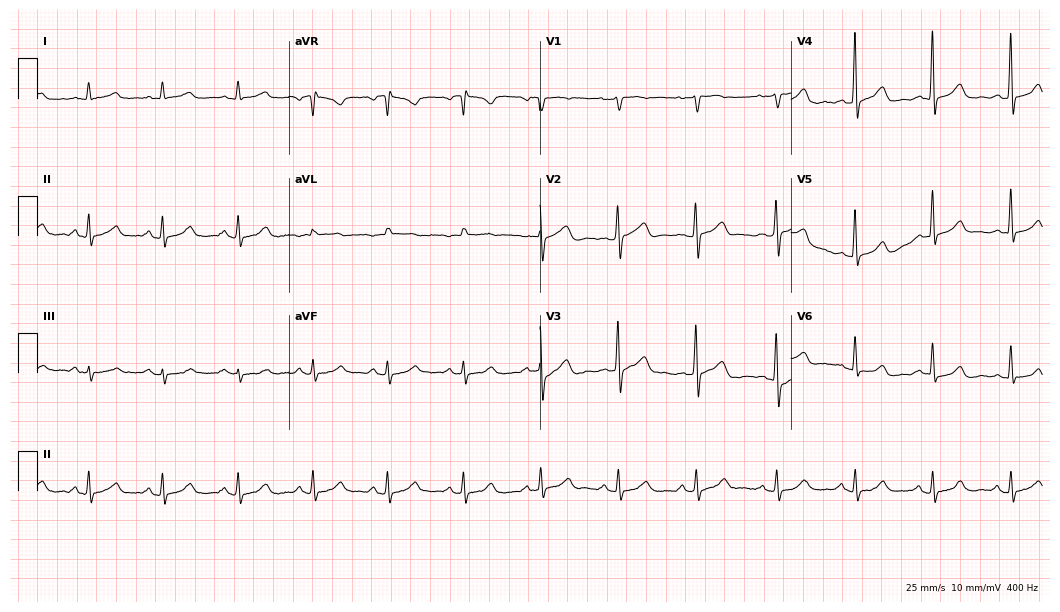
Resting 12-lead electrocardiogram. Patient: a 68-year-old woman. Read as a normal ECG.